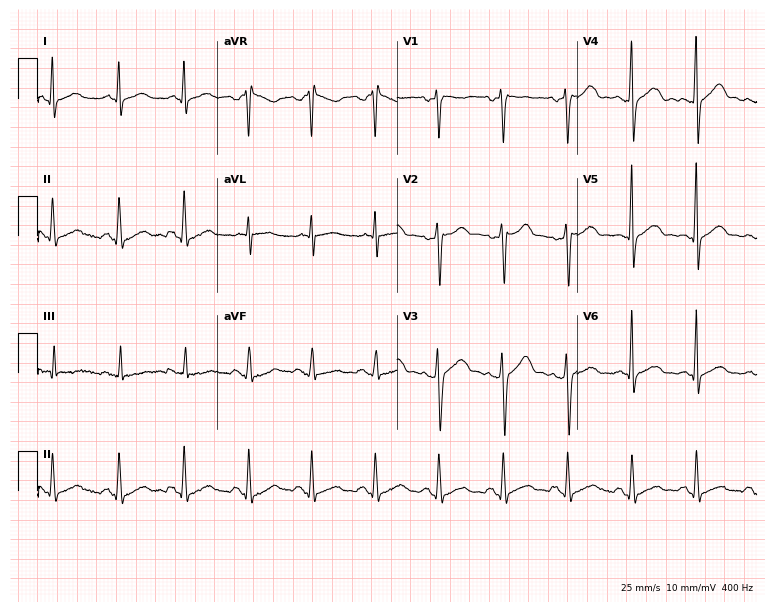
Resting 12-lead electrocardiogram (7.3-second recording at 400 Hz). Patient: a 46-year-old male. Read as a normal ECG.